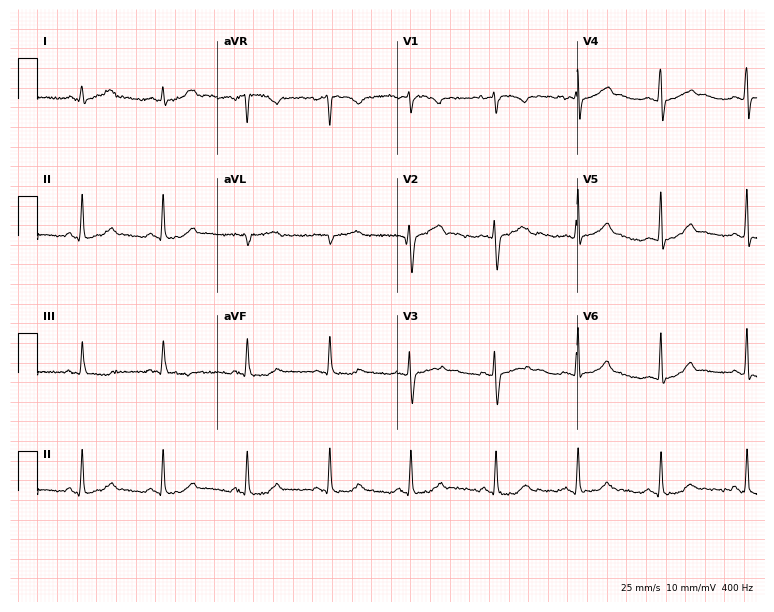
Standard 12-lead ECG recorded from a 30-year-old female. Read as a normal ECG.